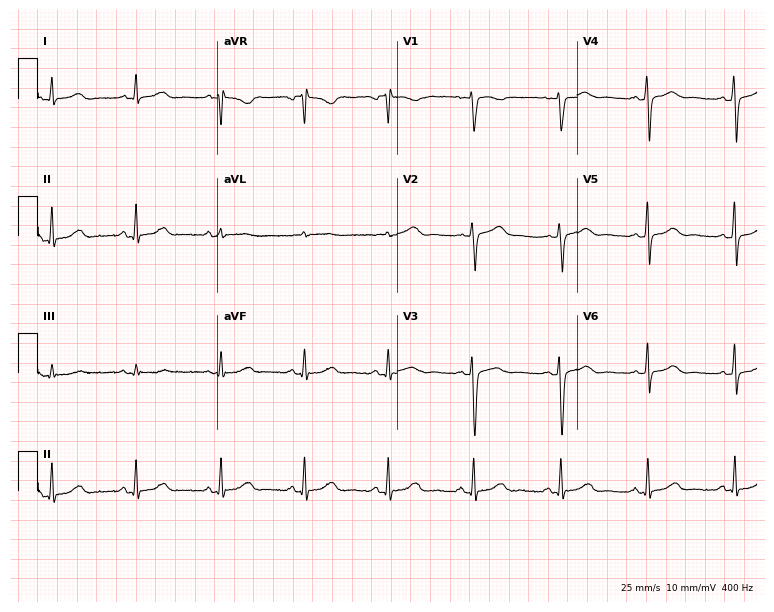
Standard 12-lead ECG recorded from a woman, 52 years old. Read as a normal ECG.